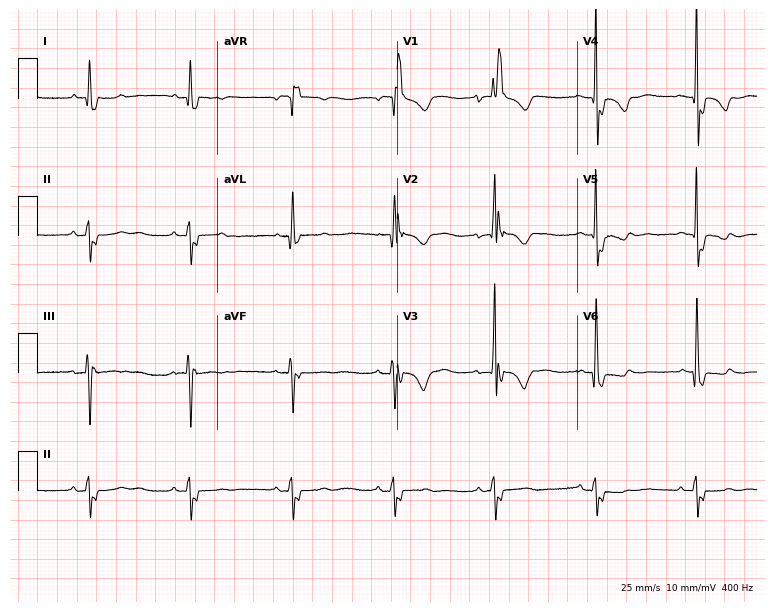
ECG (7.3-second recording at 400 Hz) — a female patient, 76 years old. Findings include right bundle branch block.